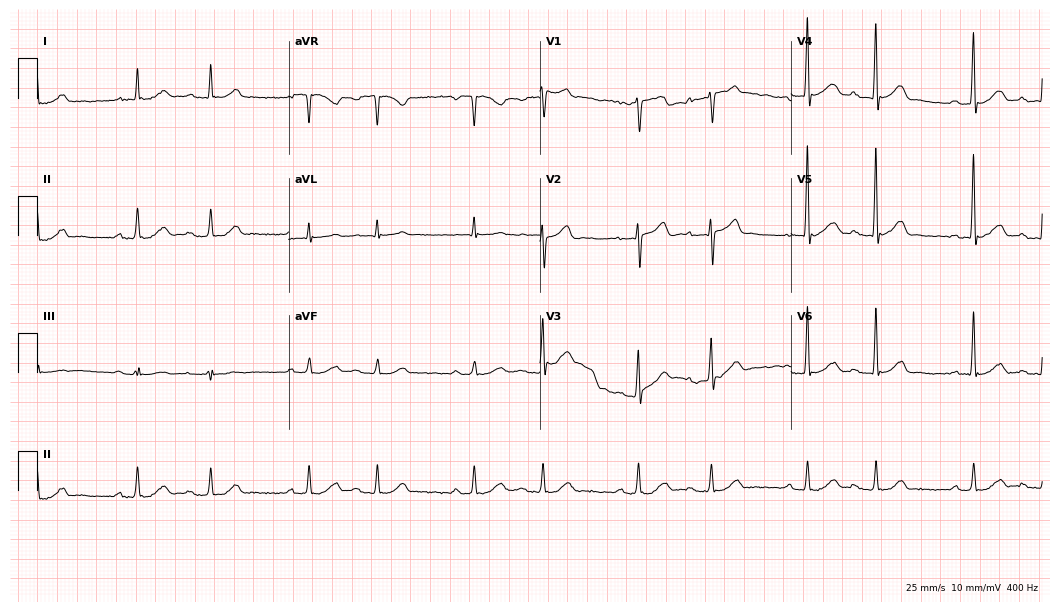
Resting 12-lead electrocardiogram. Patient: a 69-year-old male. Read as a normal ECG.